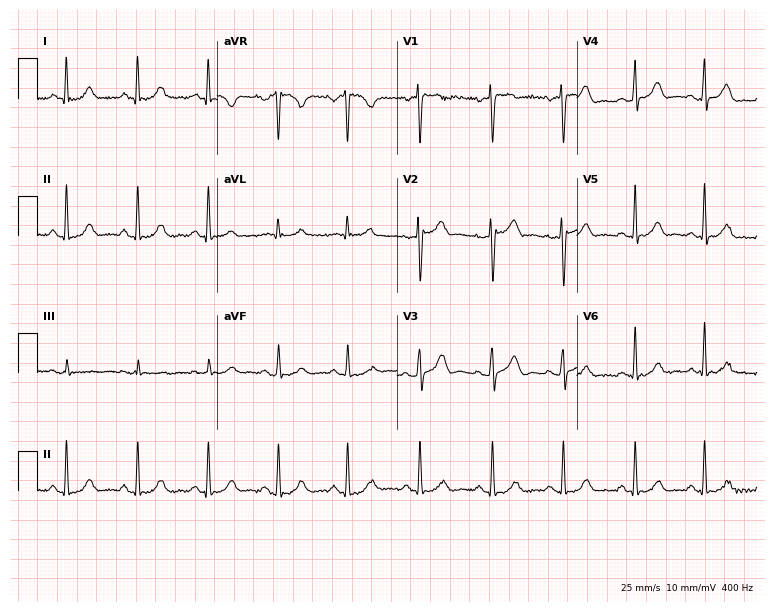
12-lead ECG from a male, 45 years old. Screened for six findings — first-degree AV block, right bundle branch block (RBBB), left bundle branch block (LBBB), sinus bradycardia, atrial fibrillation (AF), sinus tachycardia — none is recorded.